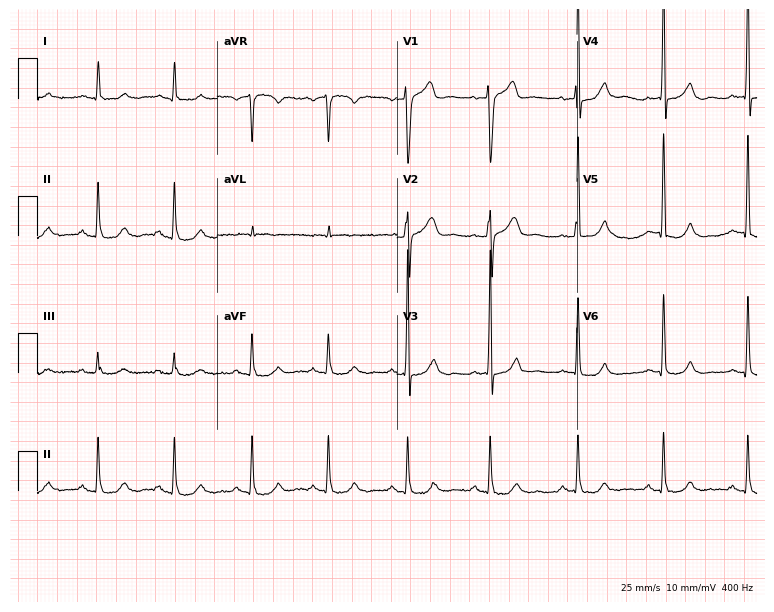
Resting 12-lead electrocardiogram. Patient: a 53-year-old man. None of these six findings is recorded: first-degree AV block, right bundle branch block, left bundle branch block, sinus bradycardia, atrial fibrillation, sinus tachycardia.